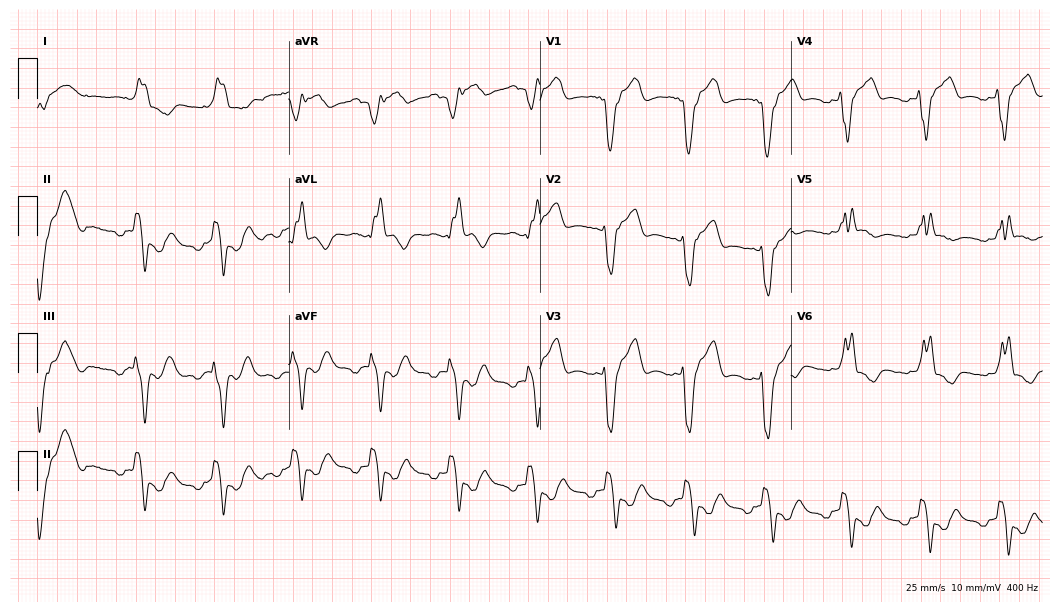
12-lead ECG from an 83-year-old male patient (10.2-second recording at 400 Hz). No first-degree AV block, right bundle branch block, left bundle branch block, sinus bradycardia, atrial fibrillation or sinus tachycardia recorded for this tracing. Other findings, if any, are not listed.